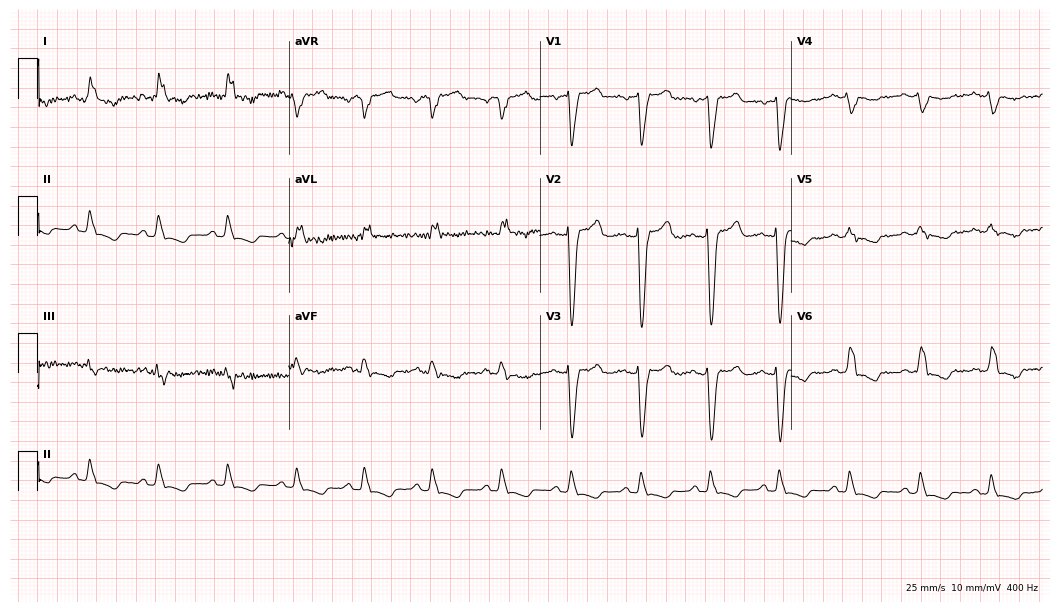
Electrocardiogram, an 84-year-old female patient. Interpretation includes left bundle branch block.